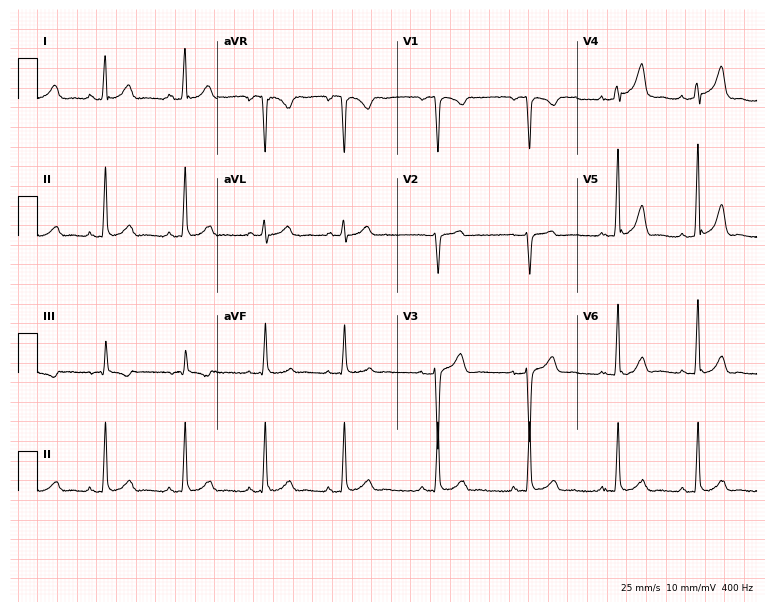
ECG (7.3-second recording at 400 Hz) — a 30-year-old female patient. Screened for six findings — first-degree AV block, right bundle branch block, left bundle branch block, sinus bradycardia, atrial fibrillation, sinus tachycardia — none is recorded.